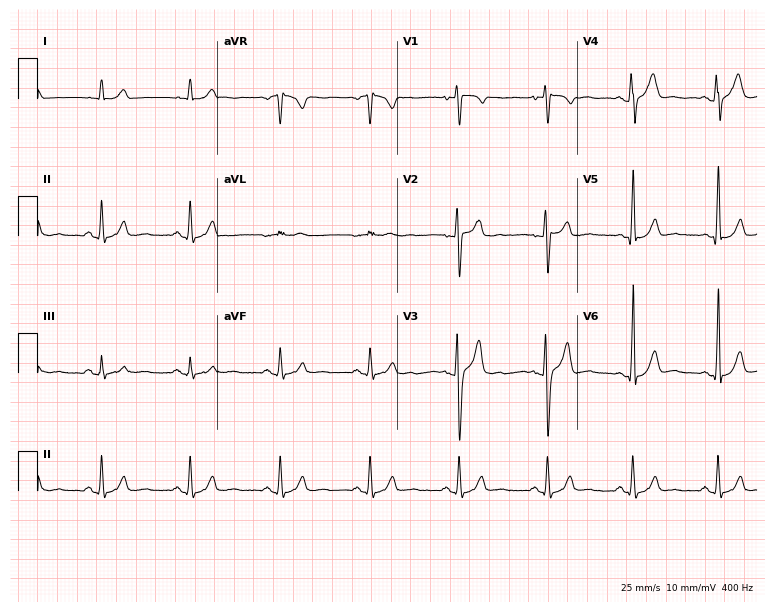
12-lead ECG from a 29-year-old male. Screened for six findings — first-degree AV block, right bundle branch block (RBBB), left bundle branch block (LBBB), sinus bradycardia, atrial fibrillation (AF), sinus tachycardia — none is recorded. Findings outside these six are not listed.